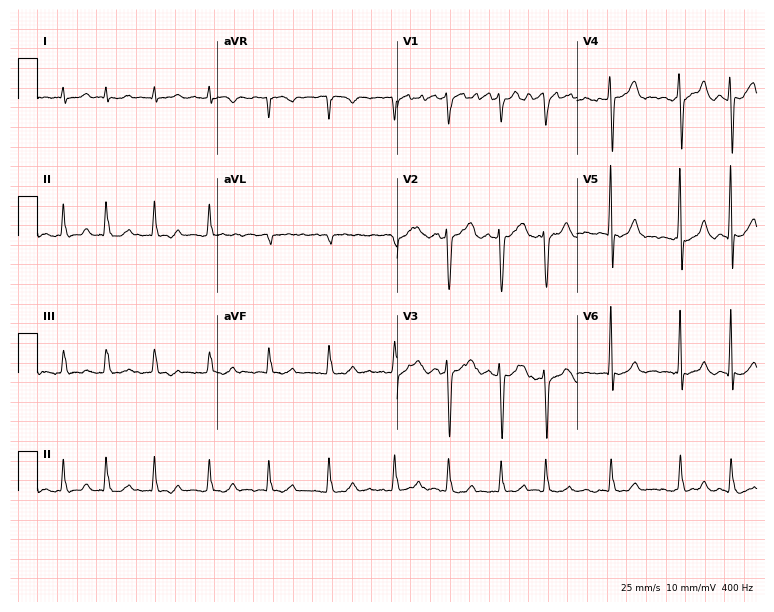
12-lead ECG from an 80-year-old man (7.3-second recording at 400 Hz). Shows atrial fibrillation.